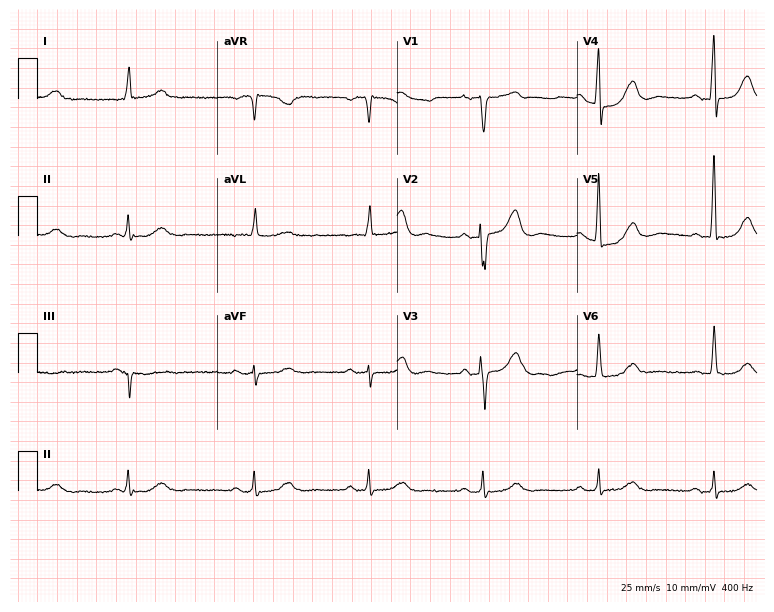
Resting 12-lead electrocardiogram. Patient: an 84-year-old man. None of these six findings is recorded: first-degree AV block, right bundle branch block, left bundle branch block, sinus bradycardia, atrial fibrillation, sinus tachycardia.